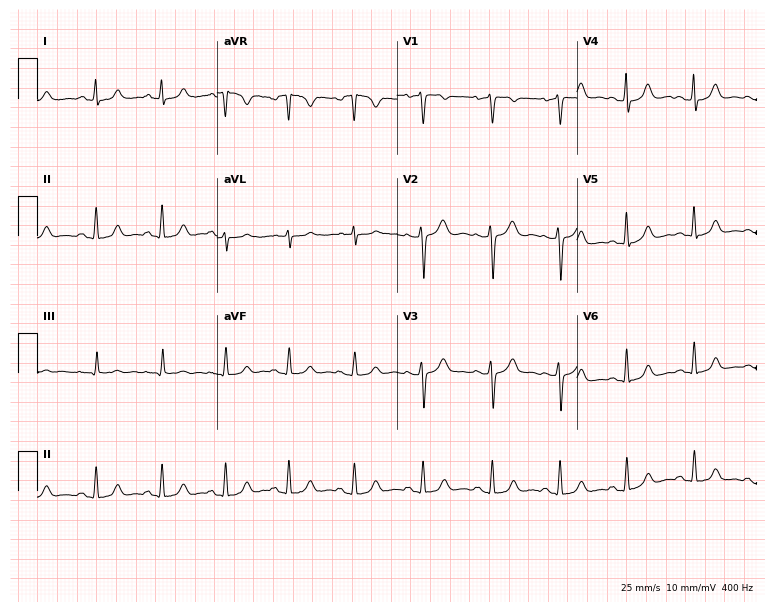
Resting 12-lead electrocardiogram (7.3-second recording at 400 Hz). Patient: a 29-year-old female. None of these six findings is recorded: first-degree AV block, right bundle branch block, left bundle branch block, sinus bradycardia, atrial fibrillation, sinus tachycardia.